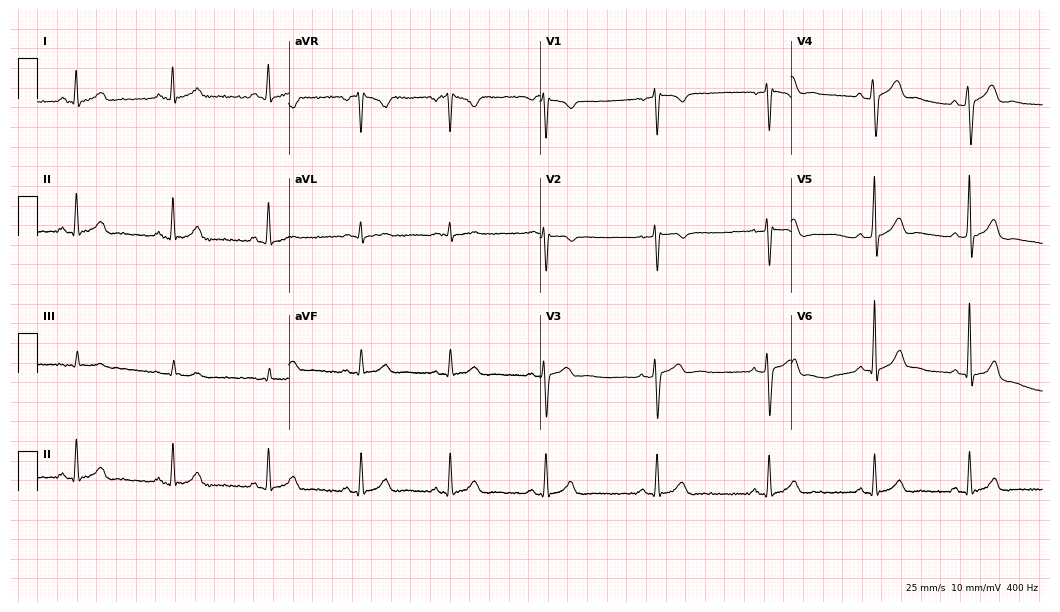
12-lead ECG from a 37-year-old man (10.2-second recording at 400 Hz). Recorded interpretation: within normal limits.